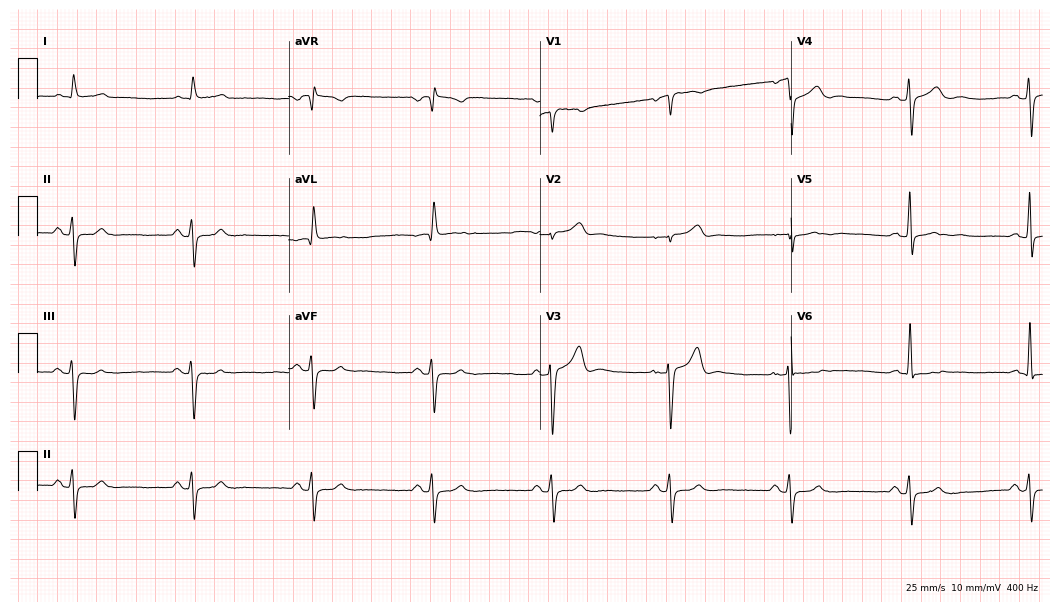
Resting 12-lead electrocardiogram (10.2-second recording at 400 Hz). Patient: a man, 73 years old. None of these six findings is recorded: first-degree AV block, right bundle branch block, left bundle branch block, sinus bradycardia, atrial fibrillation, sinus tachycardia. Other findings, if any, are not listed.